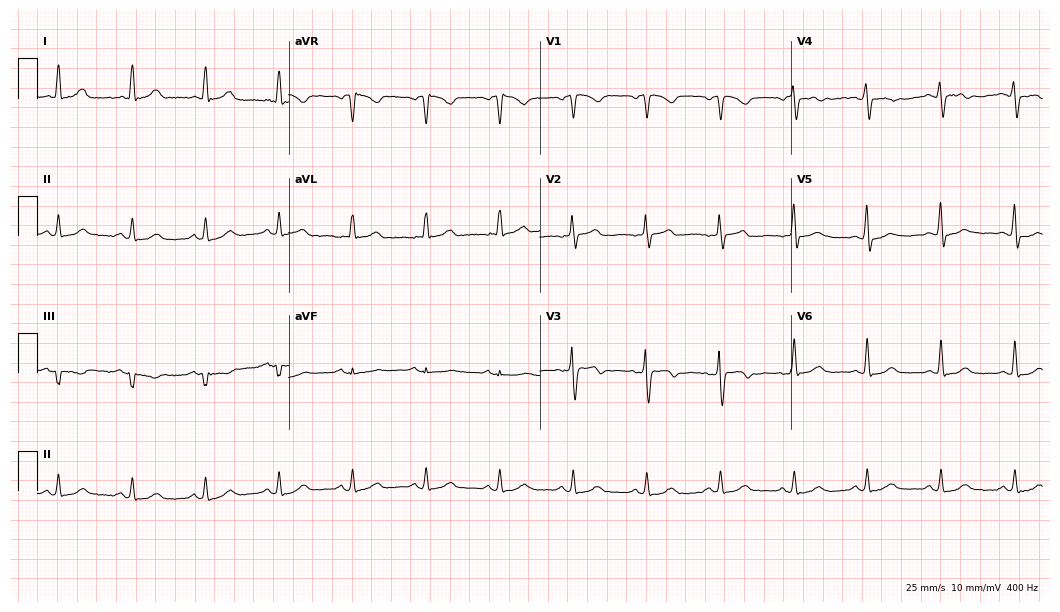
12-lead ECG (10.2-second recording at 400 Hz) from a woman, 70 years old. Labelled as a normal ECG.